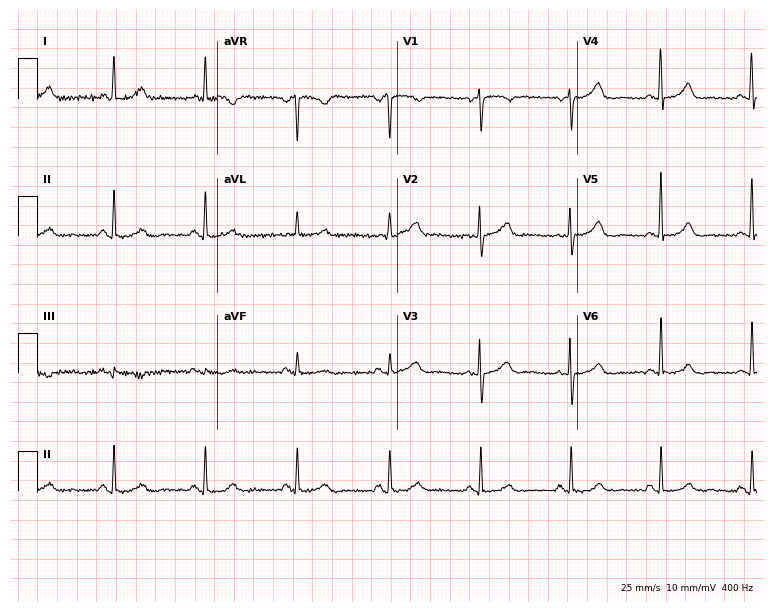
12-lead ECG from a female, 80 years old (7.3-second recording at 400 Hz). Recorded interpretation: within normal limits.